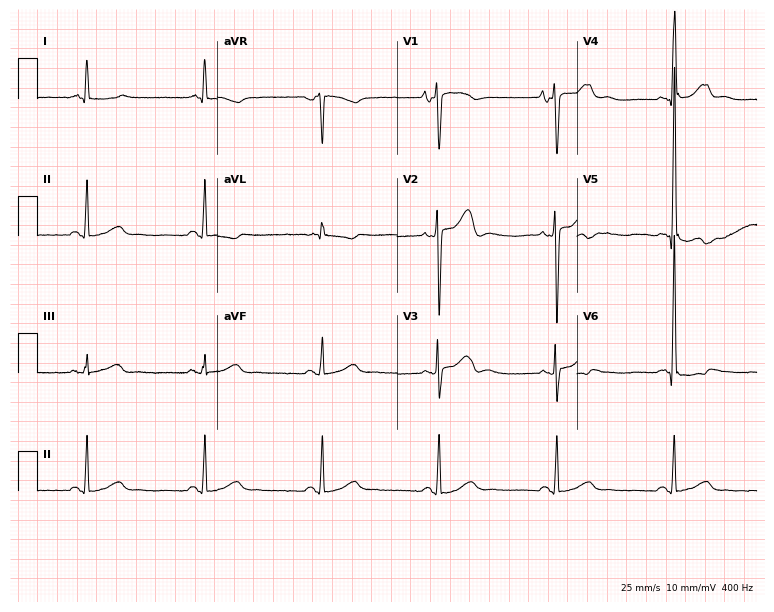
12-lead ECG from a female, 71 years old. No first-degree AV block, right bundle branch block (RBBB), left bundle branch block (LBBB), sinus bradycardia, atrial fibrillation (AF) or sinus tachycardia recorded for this tracing.